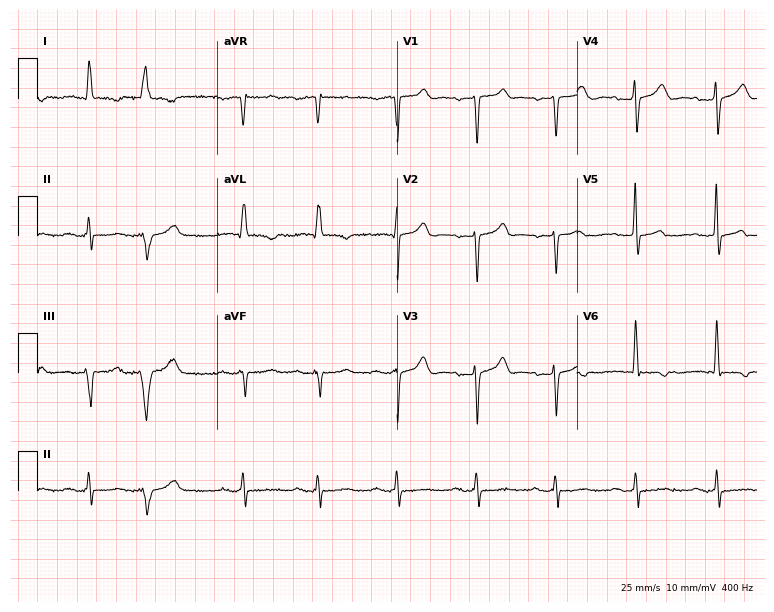
Standard 12-lead ECG recorded from an 82-year-old woman. Read as a normal ECG.